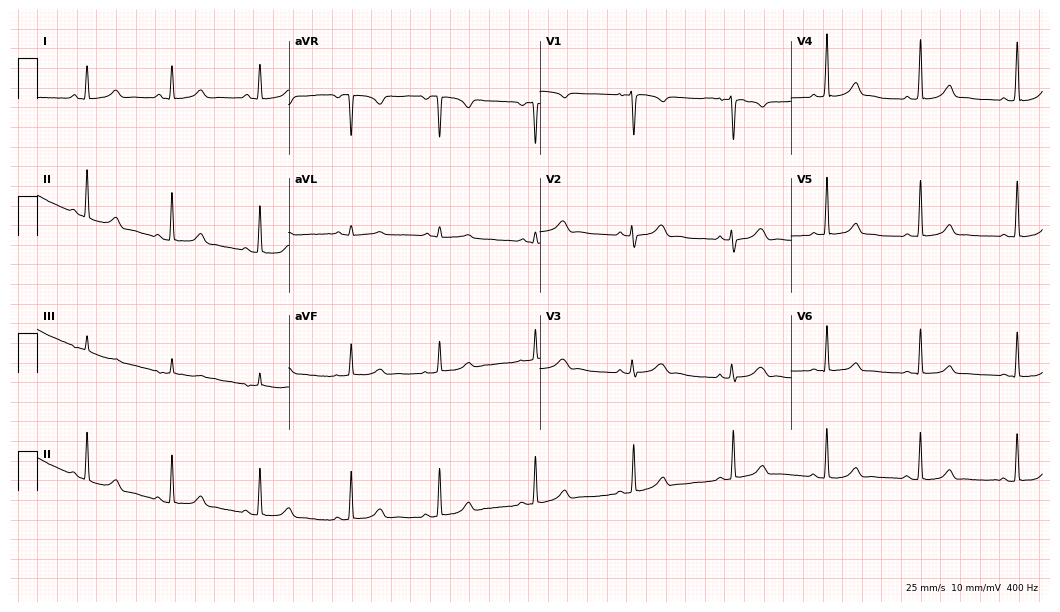
Resting 12-lead electrocardiogram. Patient: a woman, 20 years old. Read as a normal ECG.